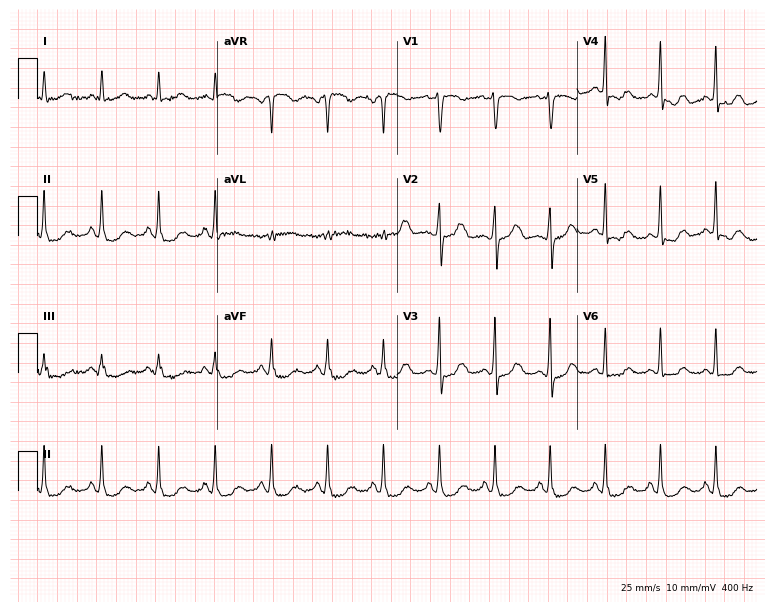
Electrocardiogram (7.3-second recording at 400 Hz), a female, 49 years old. Of the six screened findings (first-degree AV block, right bundle branch block, left bundle branch block, sinus bradycardia, atrial fibrillation, sinus tachycardia), none is recorded. Other findings, if any, are not listed.